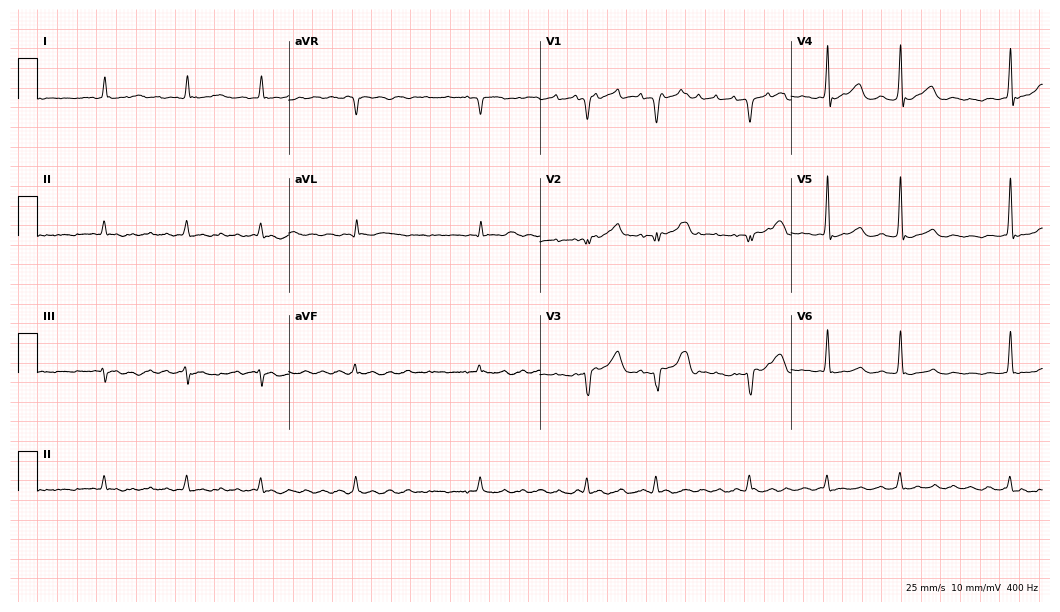
Standard 12-lead ECG recorded from a male patient, 67 years old. None of these six findings is recorded: first-degree AV block, right bundle branch block, left bundle branch block, sinus bradycardia, atrial fibrillation, sinus tachycardia. Other findings, if any, are not listed.